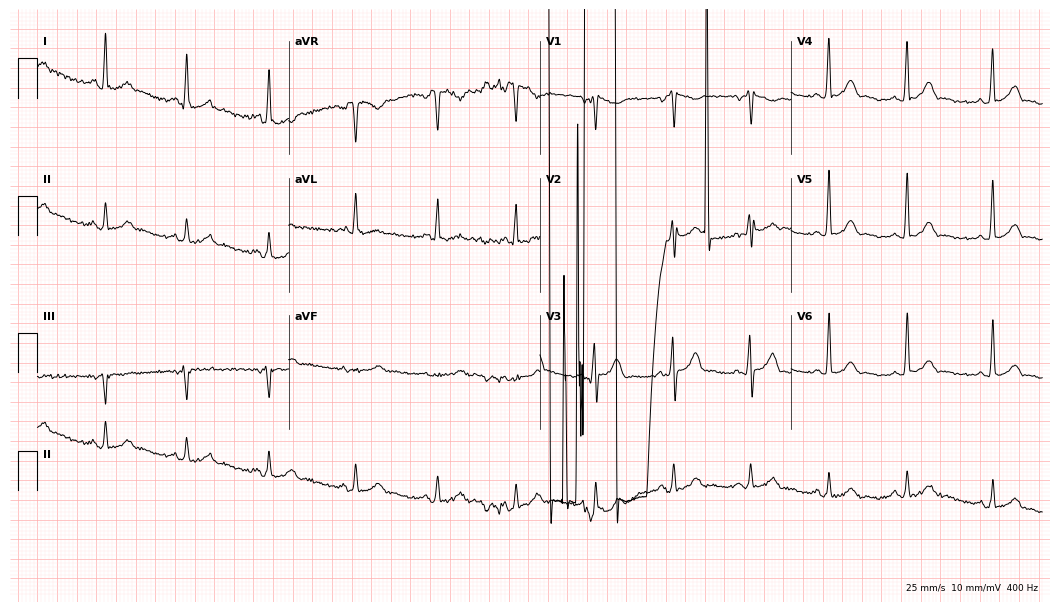
12-lead ECG from a 20-year-old male (10.2-second recording at 400 Hz). No first-degree AV block, right bundle branch block, left bundle branch block, sinus bradycardia, atrial fibrillation or sinus tachycardia recorded for this tracing.